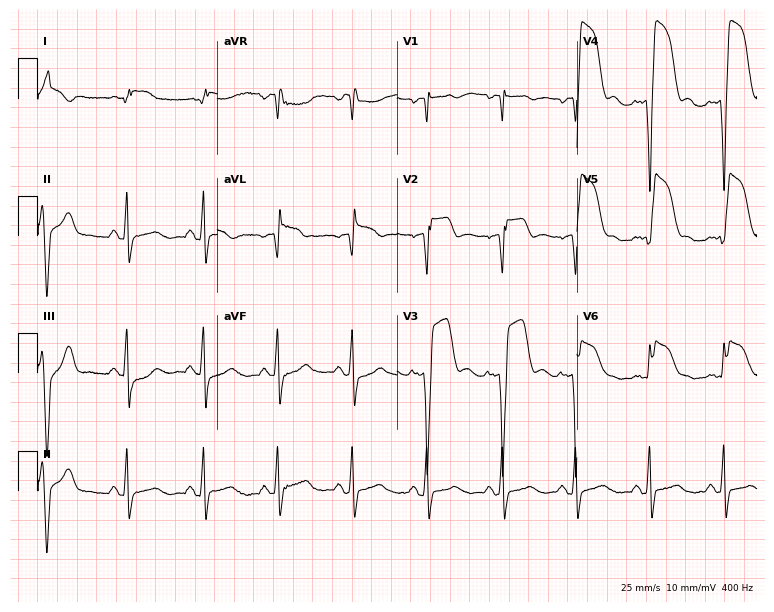
Standard 12-lead ECG recorded from a 42-year-old man (7.3-second recording at 400 Hz). None of these six findings is recorded: first-degree AV block, right bundle branch block (RBBB), left bundle branch block (LBBB), sinus bradycardia, atrial fibrillation (AF), sinus tachycardia.